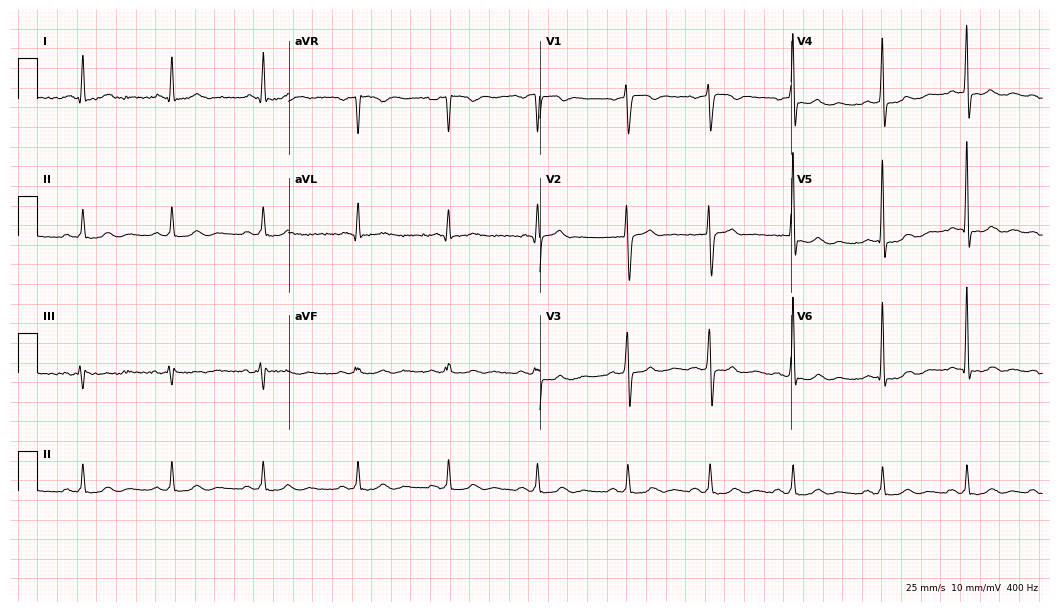
12-lead ECG from a 58-year-old woman (10.2-second recording at 400 Hz). No first-degree AV block, right bundle branch block, left bundle branch block, sinus bradycardia, atrial fibrillation or sinus tachycardia recorded for this tracing. Only these six findings were labelled.